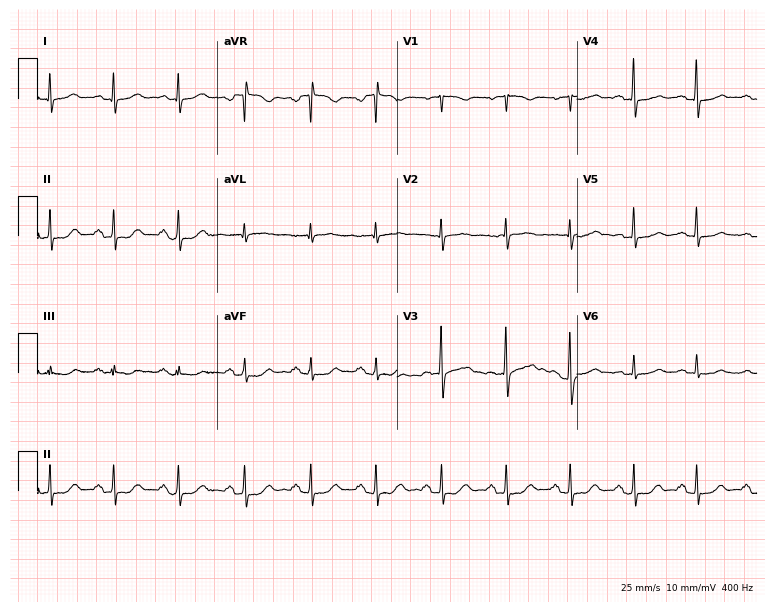
12-lead ECG from a 60-year-old male patient (7.3-second recording at 400 Hz). Recorded interpretation: within normal limits.